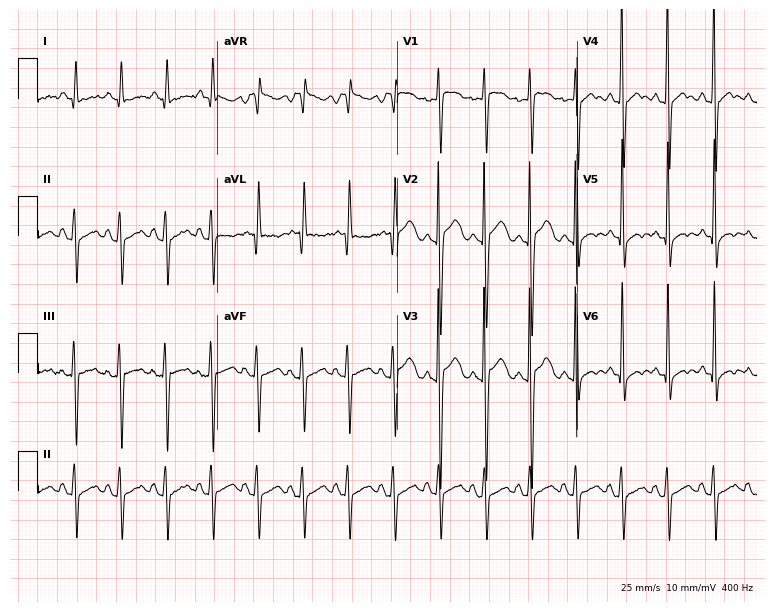
ECG — a 29-year-old man. Screened for six findings — first-degree AV block, right bundle branch block (RBBB), left bundle branch block (LBBB), sinus bradycardia, atrial fibrillation (AF), sinus tachycardia — none is recorded.